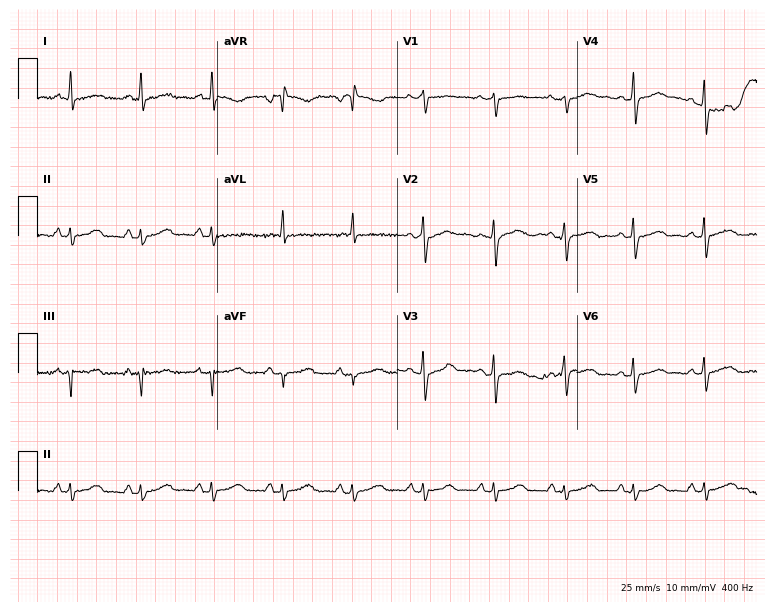
12-lead ECG from a 66-year-old woman. No first-degree AV block, right bundle branch block (RBBB), left bundle branch block (LBBB), sinus bradycardia, atrial fibrillation (AF) or sinus tachycardia recorded for this tracing.